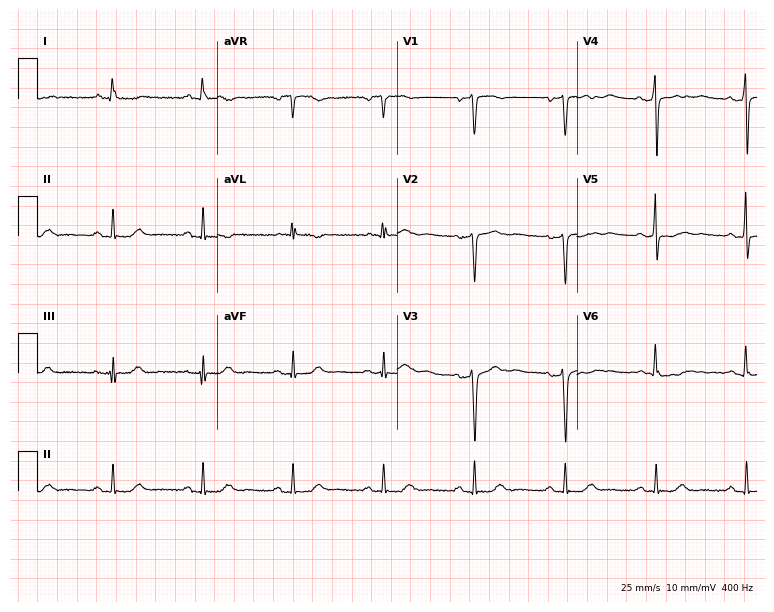
ECG (7.3-second recording at 400 Hz) — a female, 65 years old. Screened for six findings — first-degree AV block, right bundle branch block, left bundle branch block, sinus bradycardia, atrial fibrillation, sinus tachycardia — none is recorded. Other findings, if any, are not listed.